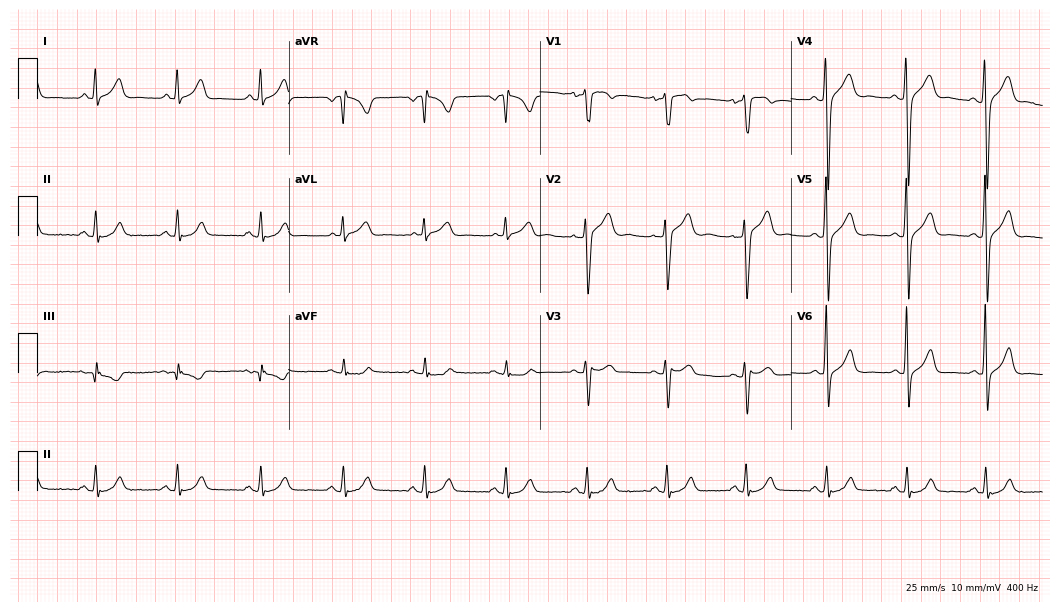
ECG — a male, 39 years old. Labelled as a normal ECG.